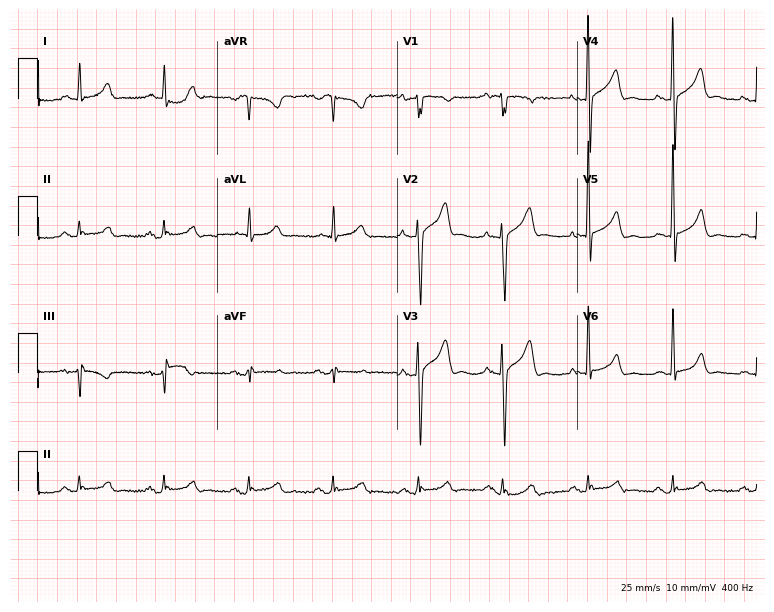
Electrocardiogram, an 80-year-old male patient. Overall reading on record: normal ECG.